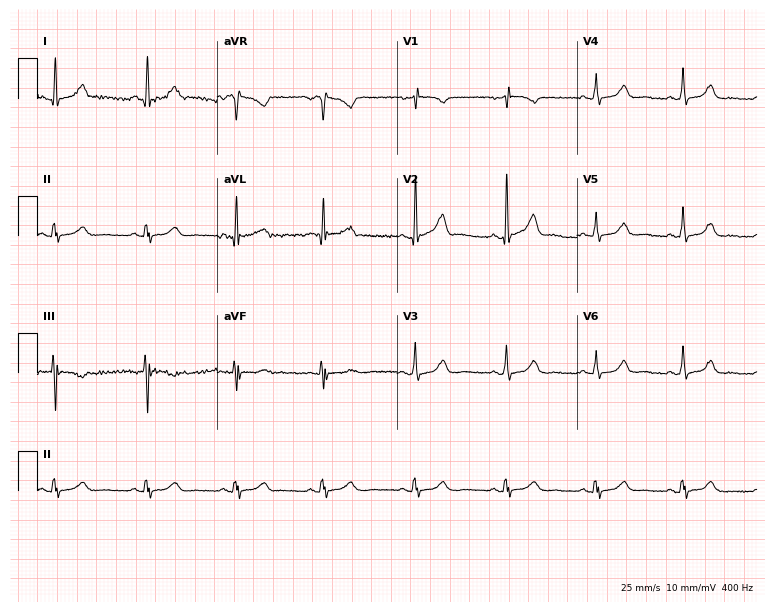
ECG — a female patient, 66 years old. Labelled as a normal ECG.